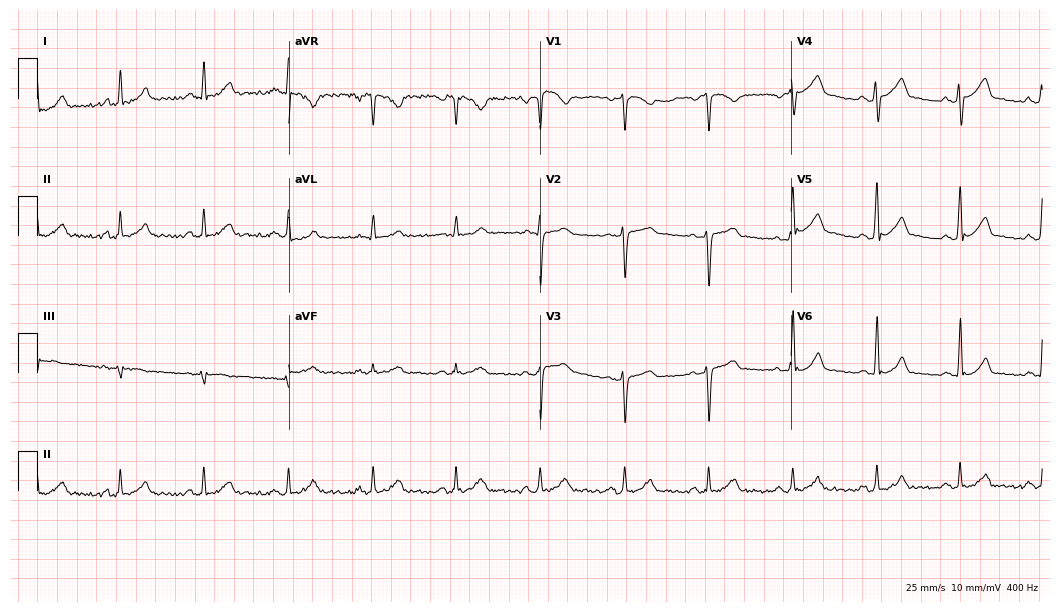
Standard 12-lead ECG recorded from a male patient, 33 years old. Read as a normal ECG.